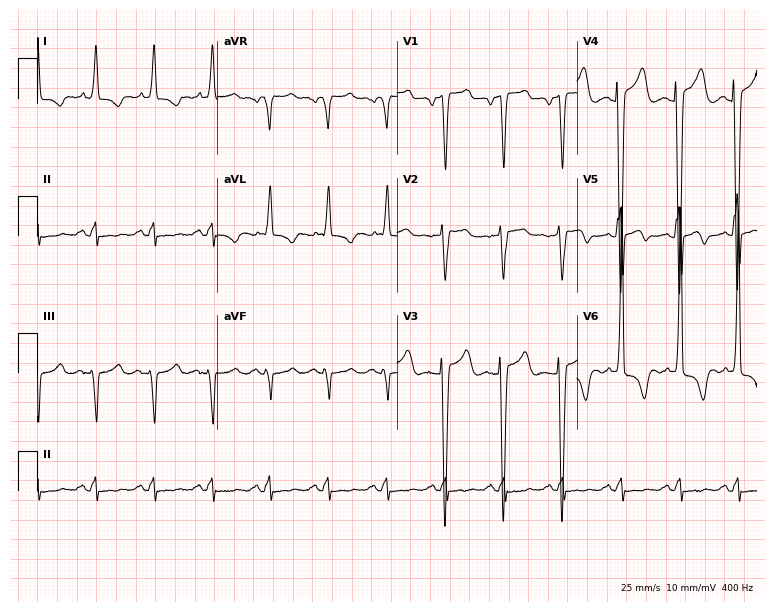
Resting 12-lead electrocardiogram. Patient: a 75-year-old male. None of these six findings is recorded: first-degree AV block, right bundle branch block, left bundle branch block, sinus bradycardia, atrial fibrillation, sinus tachycardia. Other findings, if any, are not listed.